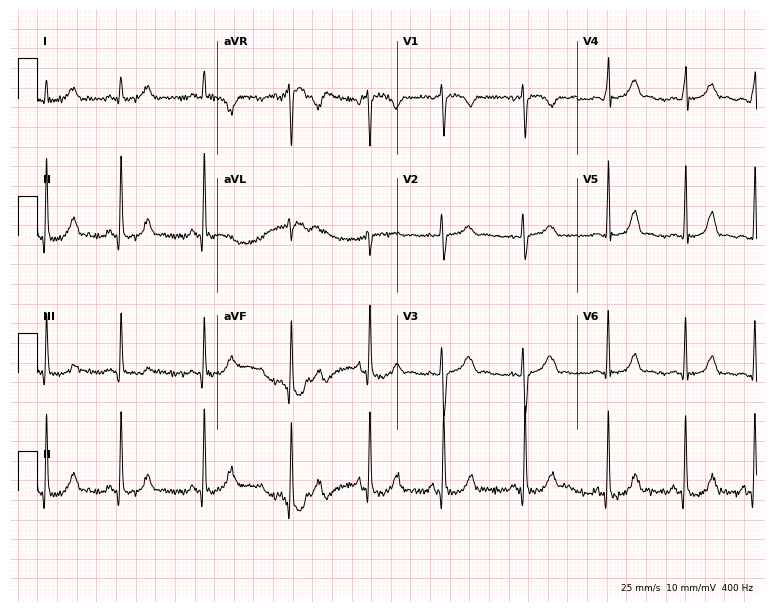
Resting 12-lead electrocardiogram. Patient: a female, 23 years old. Read as a normal ECG.